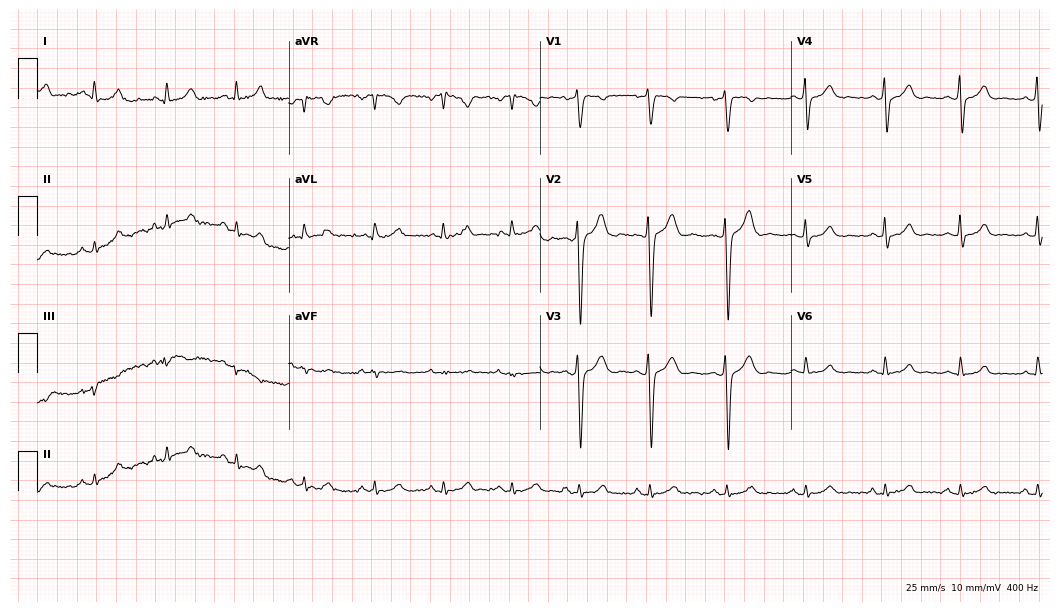
Resting 12-lead electrocardiogram. Patient: a male, 33 years old. Read as a normal ECG.